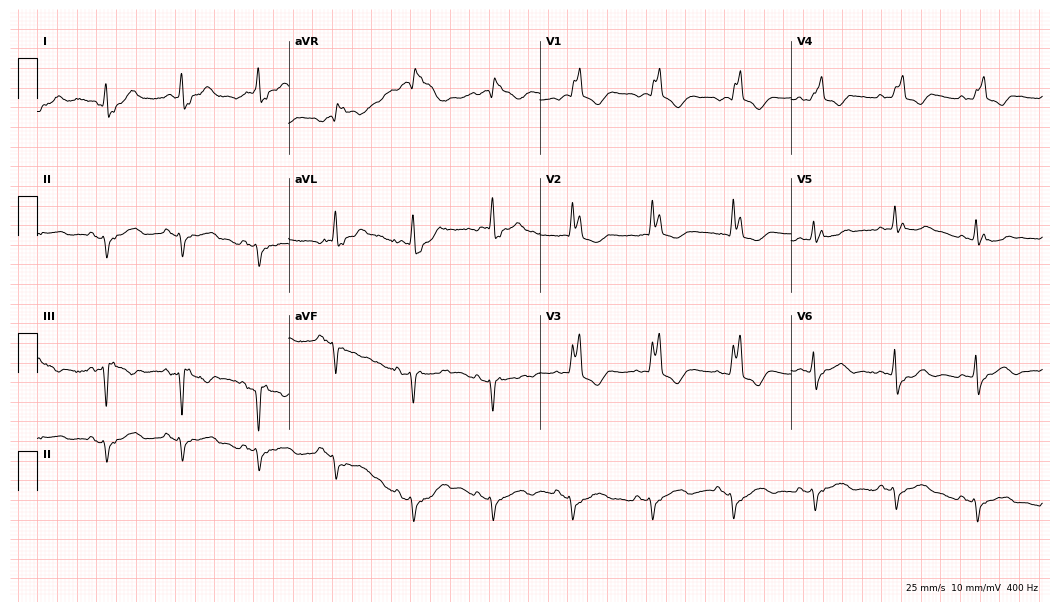
Electrocardiogram, an 80-year-old female. Interpretation includes right bundle branch block (RBBB).